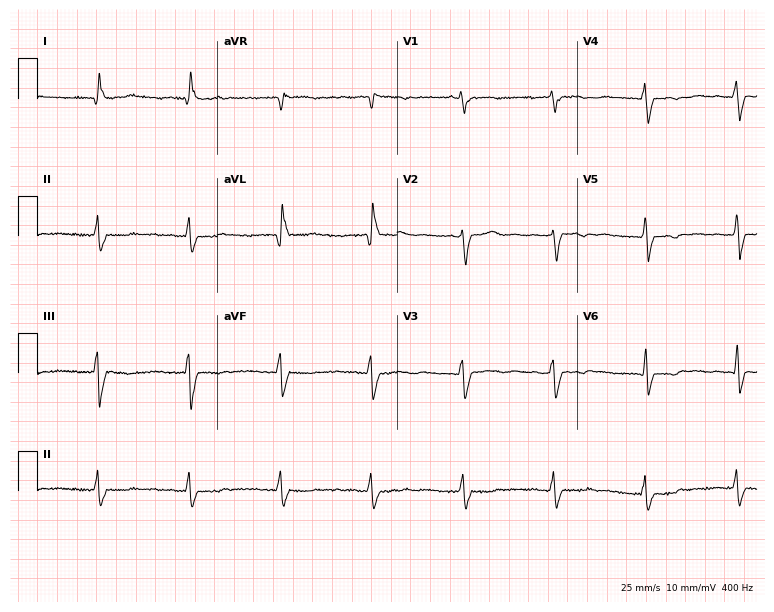
ECG — a 38-year-old female patient. Findings include left bundle branch block (LBBB), atrial fibrillation (AF).